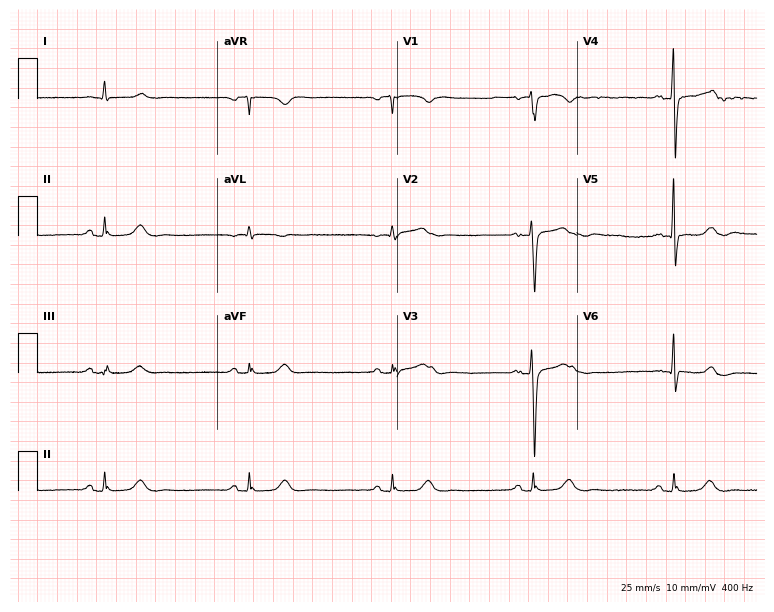
ECG (7.3-second recording at 400 Hz) — a 69-year-old man. Findings include sinus bradycardia (a sinus rate of 50 beats per minute or less).